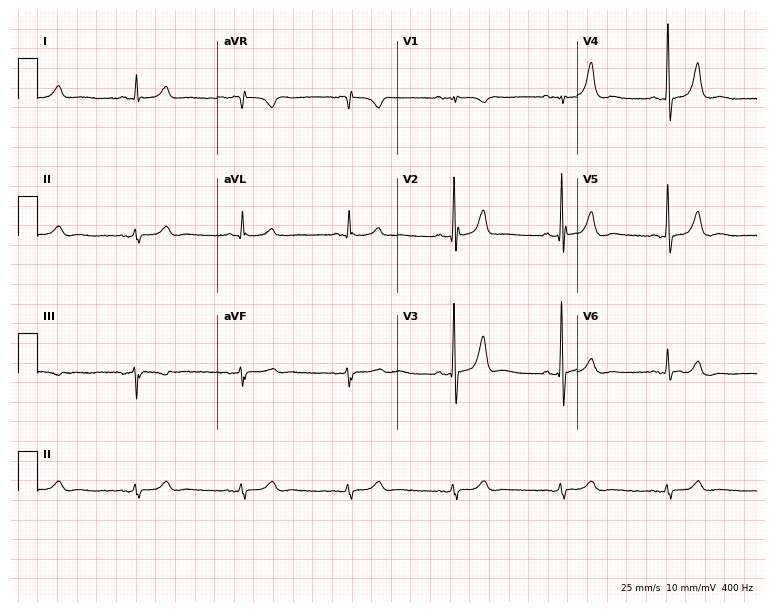
12-lead ECG from a male patient, 85 years old. No first-degree AV block, right bundle branch block, left bundle branch block, sinus bradycardia, atrial fibrillation or sinus tachycardia recorded for this tracing. Only these six findings were labelled.